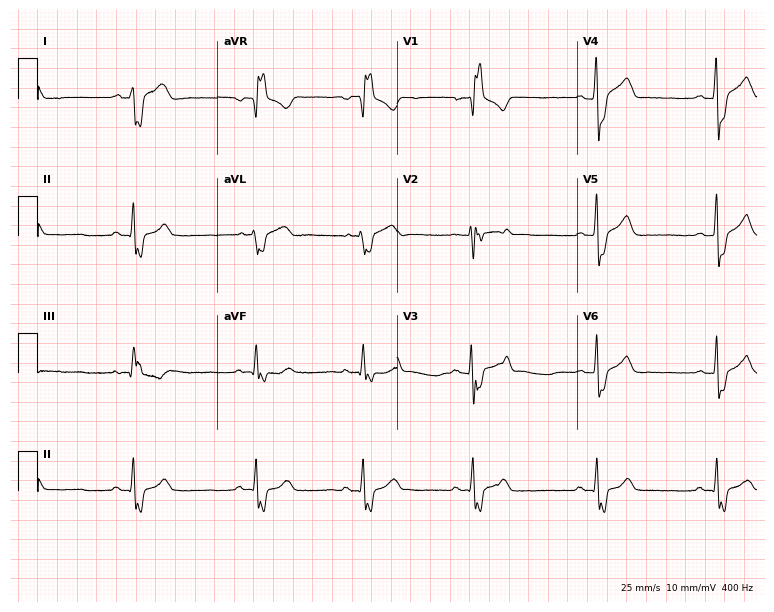
Resting 12-lead electrocardiogram (7.3-second recording at 400 Hz). Patient: a 27-year-old male. None of these six findings is recorded: first-degree AV block, right bundle branch block, left bundle branch block, sinus bradycardia, atrial fibrillation, sinus tachycardia. Other findings, if any, are not listed.